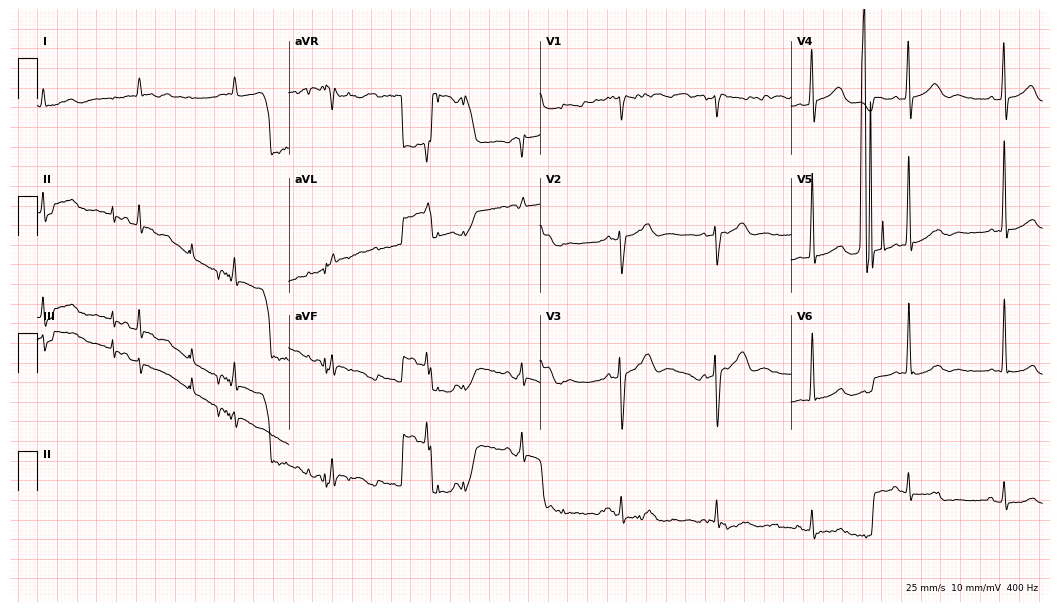
ECG — a 75-year-old woman. Screened for six findings — first-degree AV block, right bundle branch block, left bundle branch block, sinus bradycardia, atrial fibrillation, sinus tachycardia — none is recorded.